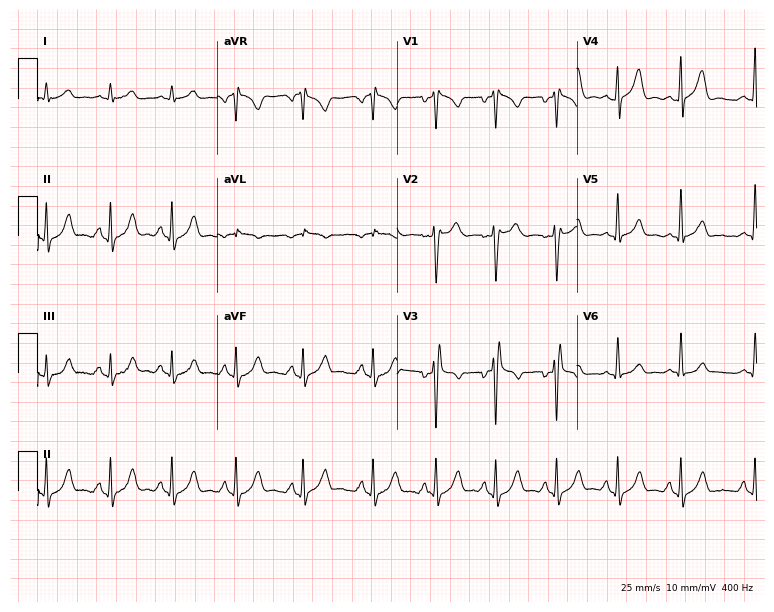
Standard 12-lead ECG recorded from a 21-year-old man (7.3-second recording at 400 Hz). None of these six findings is recorded: first-degree AV block, right bundle branch block, left bundle branch block, sinus bradycardia, atrial fibrillation, sinus tachycardia.